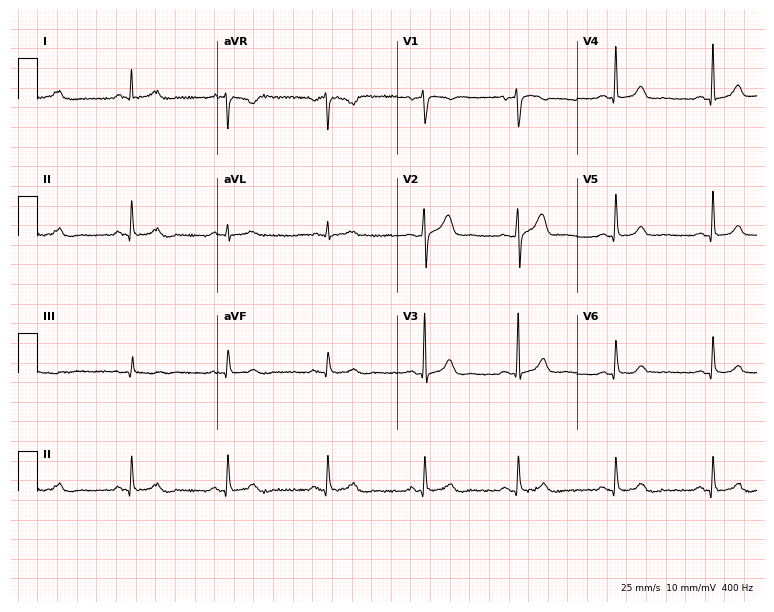
Standard 12-lead ECG recorded from a male, 50 years old. Read as a normal ECG.